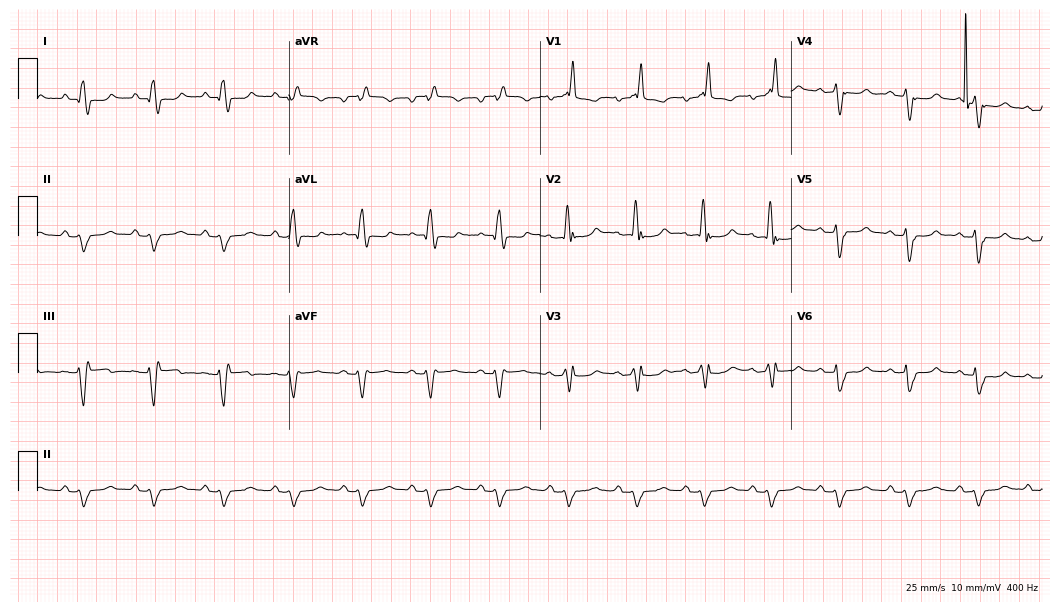
ECG (10.2-second recording at 400 Hz) — a 76-year-old male. Findings include right bundle branch block (RBBB).